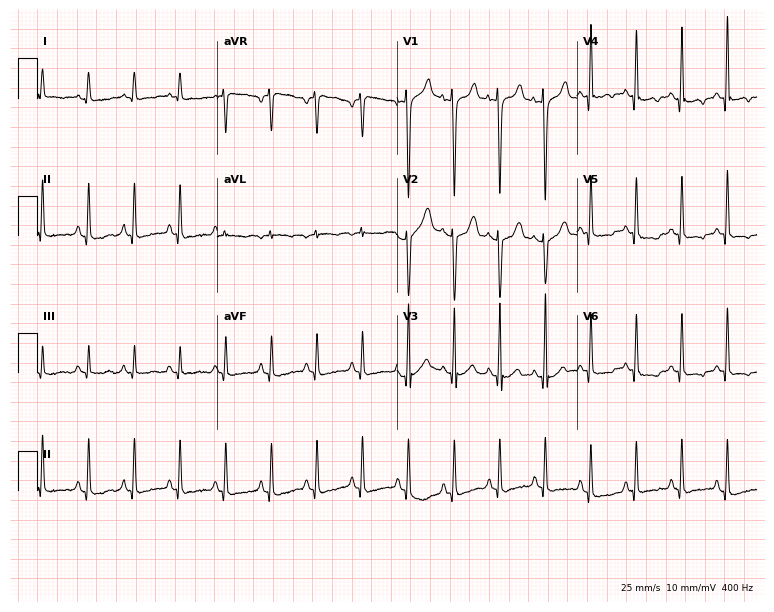
12-lead ECG from a male, 23 years old (7.3-second recording at 400 Hz). Shows sinus tachycardia (a sinus rate of 100 beats per minute or more).